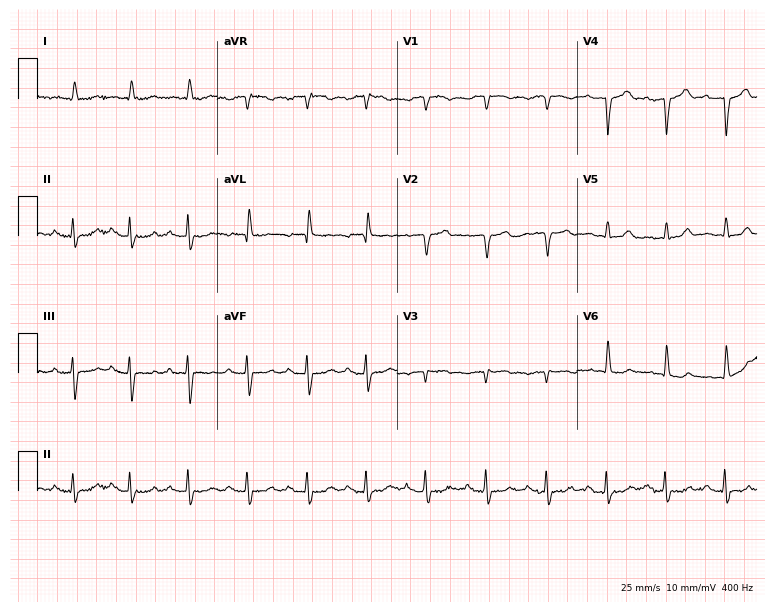
12-lead ECG (7.3-second recording at 400 Hz) from a male, 76 years old. Screened for six findings — first-degree AV block, right bundle branch block, left bundle branch block, sinus bradycardia, atrial fibrillation, sinus tachycardia — none is recorded. Findings outside these six are not listed.